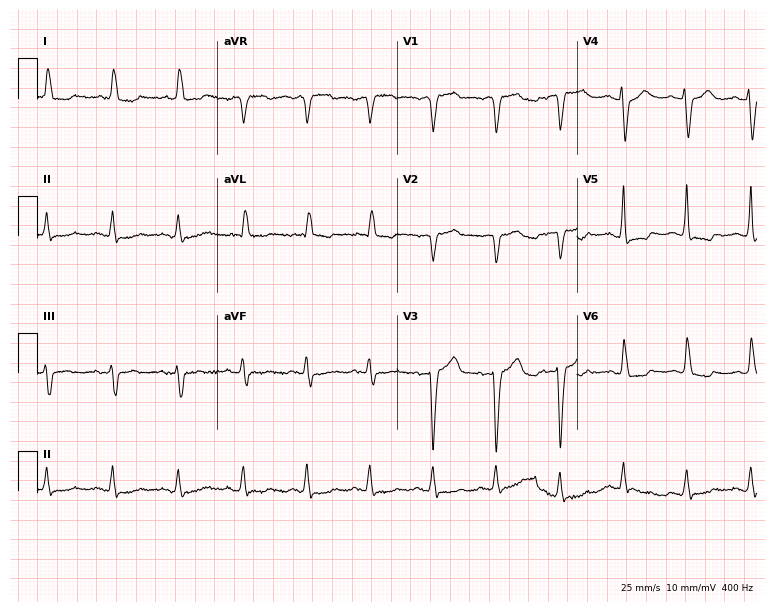
ECG — a man, 74 years old. Screened for six findings — first-degree AV block, right bundle branch block, left bundle branch block, sinus bradycardia, atrial fibrillation, sinus tachycardia — none is recorded. Other findings, if any, are not listed.